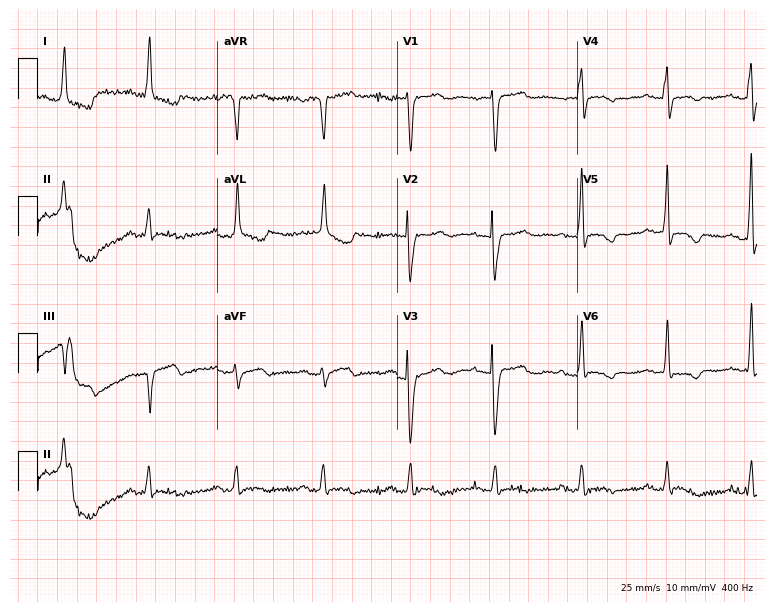
12-lead ECG (7.3-second recording at 400 Hz) from an 83-year-old woman. Screened for six findings — first-degree AV block, right bundle branch block, left bundle branch block, sinus bradycardia, atrial fibrillation, sinus tachycardia — none is recorded. Only these six findings were labelled.